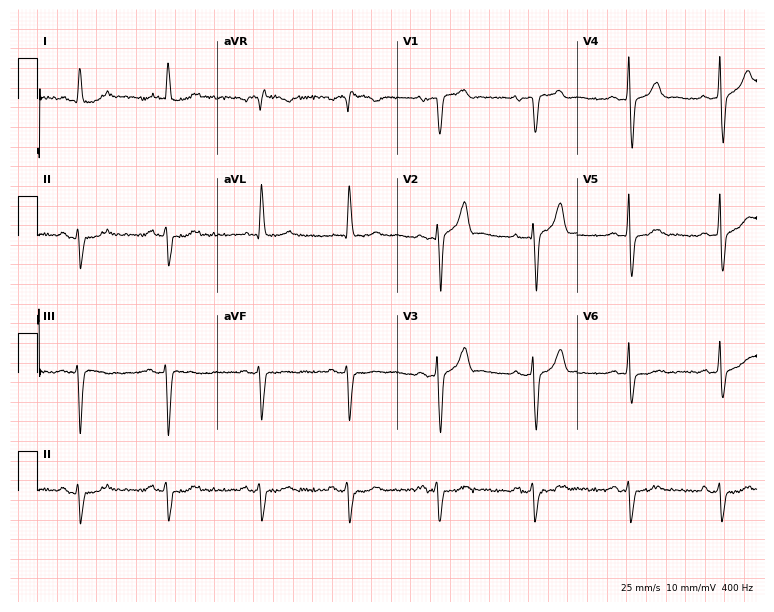
Standard 12-lead ECG recorded from a male, 82 years old. None of these six findings is recorded: first-degree AV block, right bundle branch block, left bundle branch block, sinus bradycardia, atrial fibrillation, sinus tachycardia. Findings outside these six are not listed.